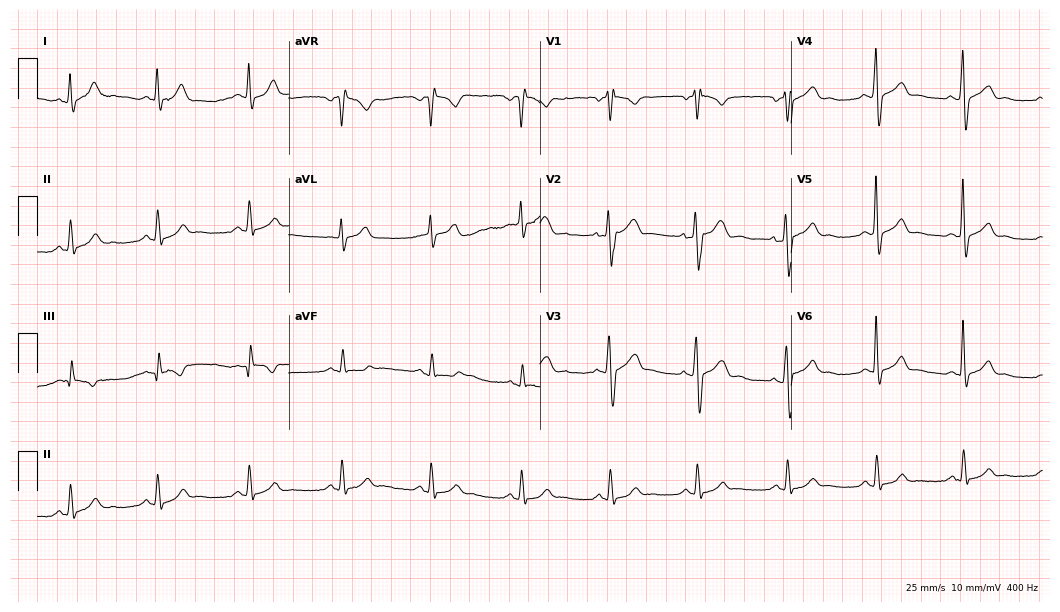
ECG — a 46-year-old man. Screened for six findings — first-degree AV block, right bundle branch block, left bundle branch block, sinus bradycardia, atrial fibrillation, sinus tachycardia — none is recorded. Findings outside these six are not listed.